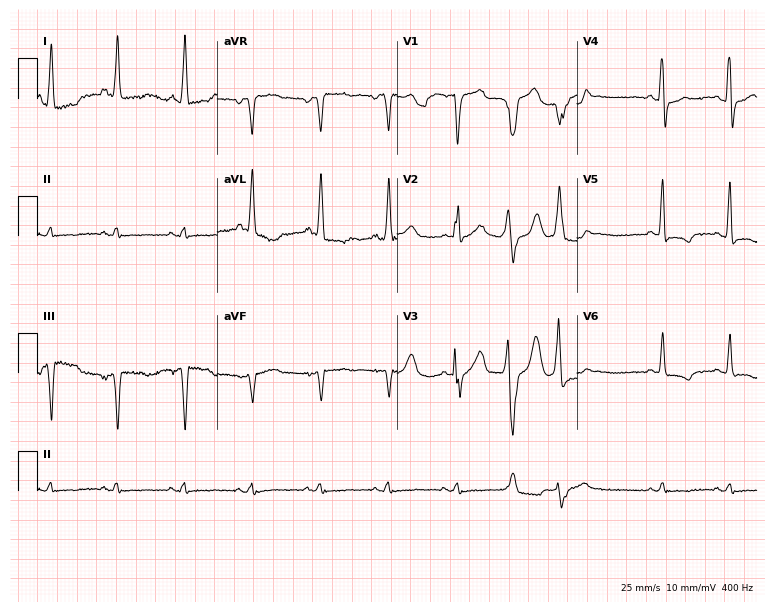
ECG — a male patient, 69 years old. Screened for six findings — first-degree AV block, right bundle branch block, left bundle branch block, sinus bradycardia, atrial fibrillation, sinus tachycardia — none is recorded.